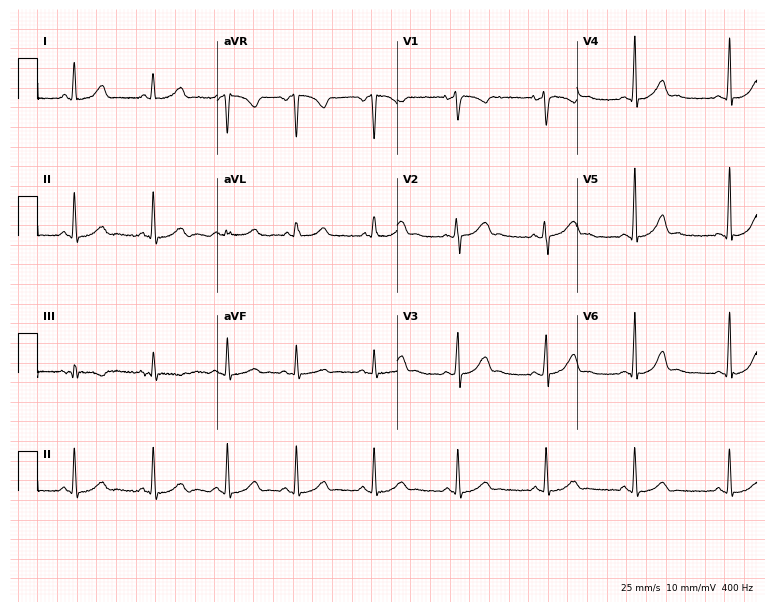
ECG (7.3-second recording at 400 Hz) — a female, 29 years old. Labelled as a normal ECG.